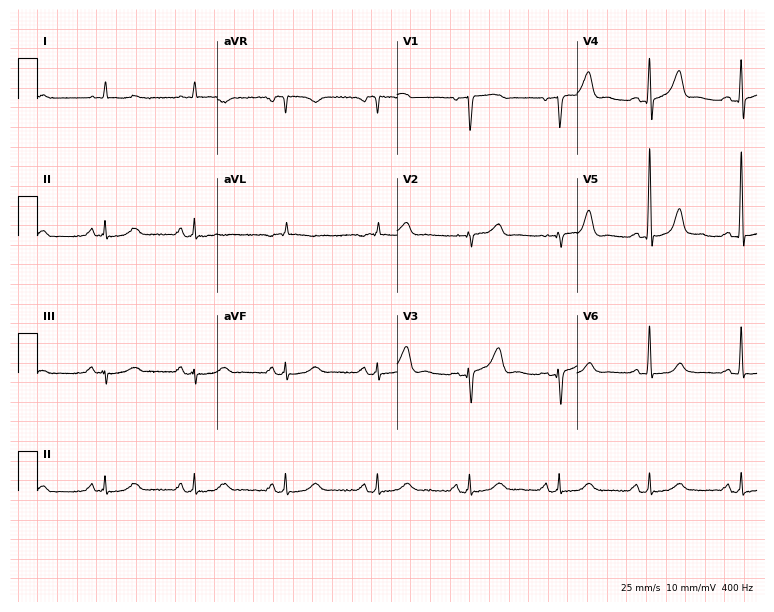
Standard 12-lead ECG recorded from a 71-year-old female patient (7.3-second recording at 400 Hz). None of these six findings is recorded: first-degree AV block, right bundle branch block, left bundle branch block, sinus bradycardia, atrial fibrillation, sinus tachycardia.